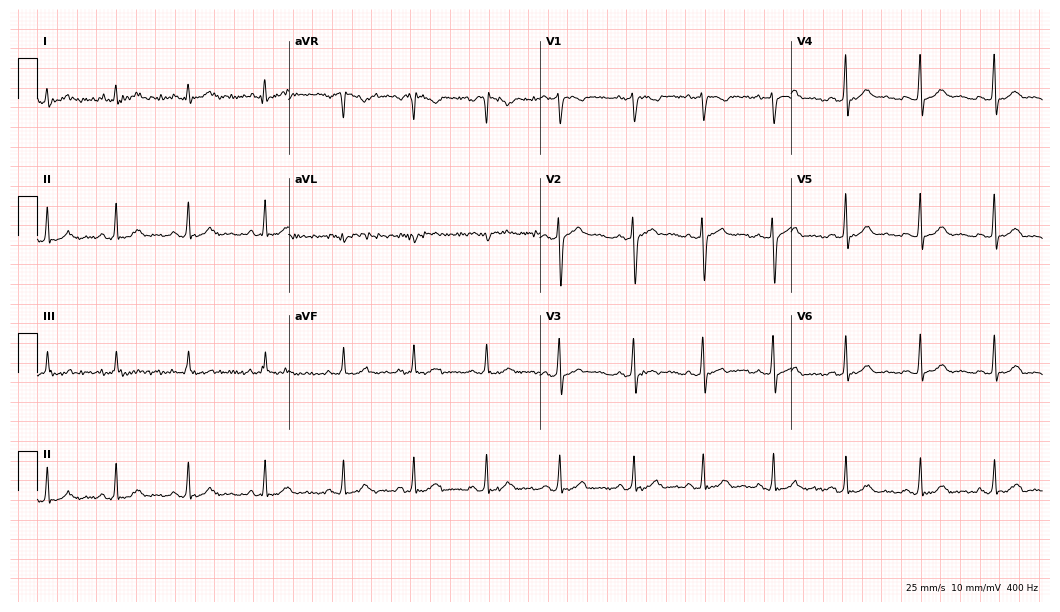
Electrocardiogram, a female patient, 23 years old. Overall reading on record: normal ECG.